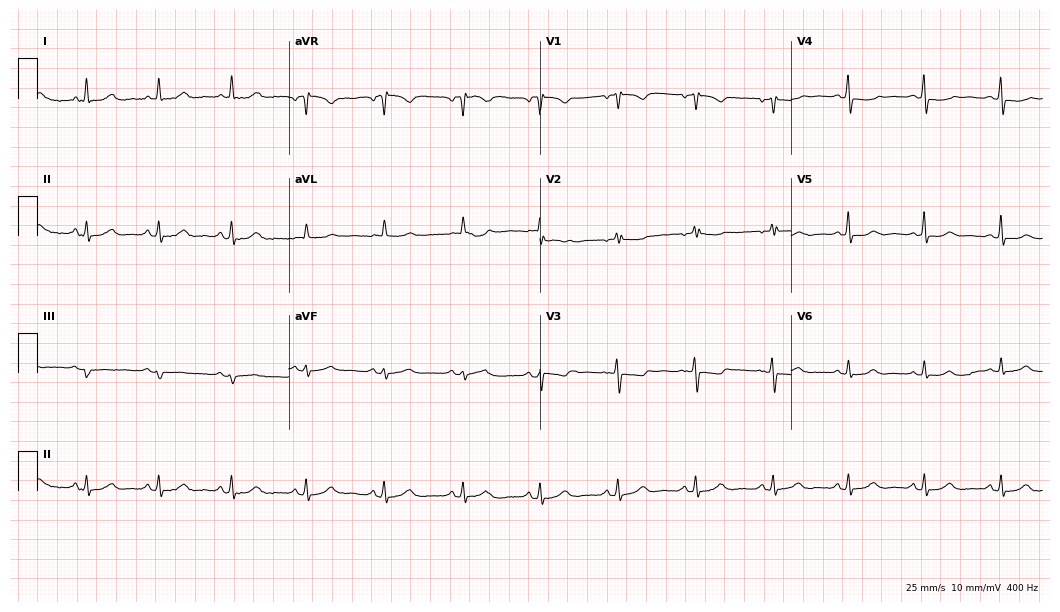
12-lead ECG from a woman, 55 years old. Recorded interpretation: within normal limits.